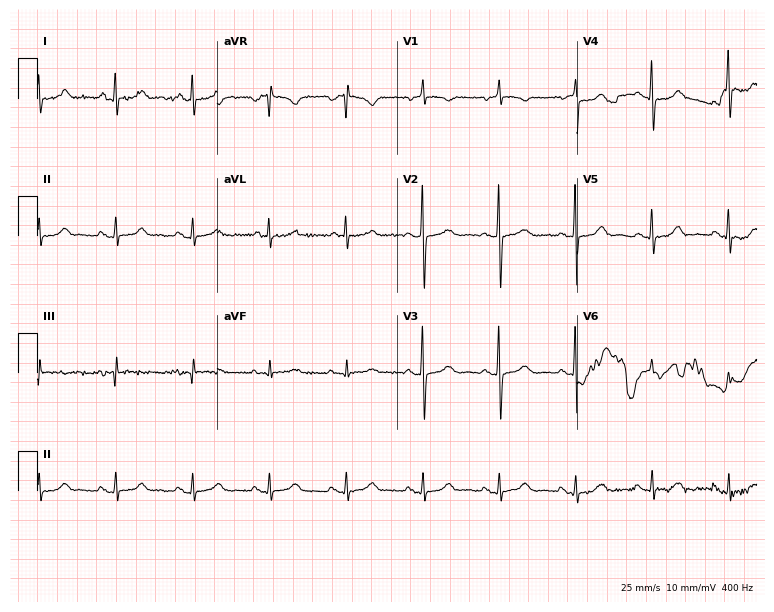
ECG (7.3-second recording at 400 Hz) — an 85-year-old female. Screened for six findings — first-degree AV block, right bundle branch block, left bundle branch block, sinus bradycardia, atrial fibrillation, sinus tachycardia — none is recorded.